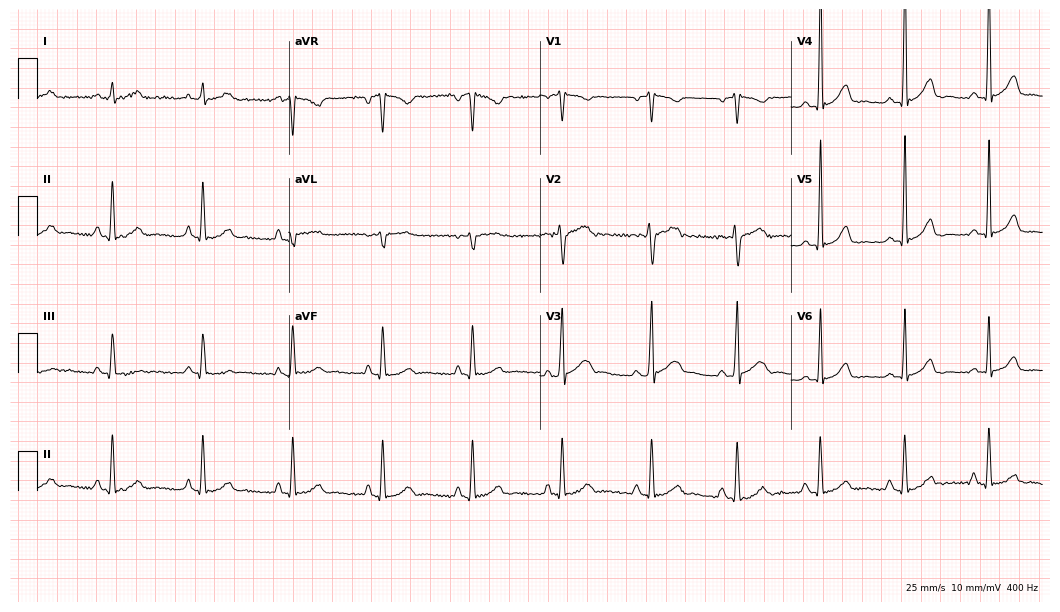
12-lead ECG (10.2-second recording at 400 Hz) from a male, 41 years old. Screened for six findings — first-degree AV block, right bundle branch block, left bundle branch block, sinus bradycardia, atrial fibrillation, sinus tachycardia — none is recorded.